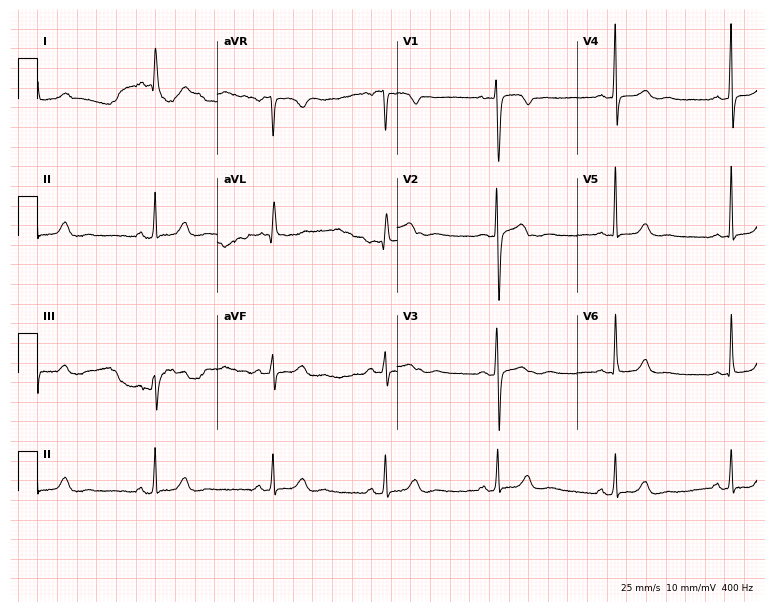
Standard 12-lead ECG recorded from a female, 54 years old. Read as a normal ECG.